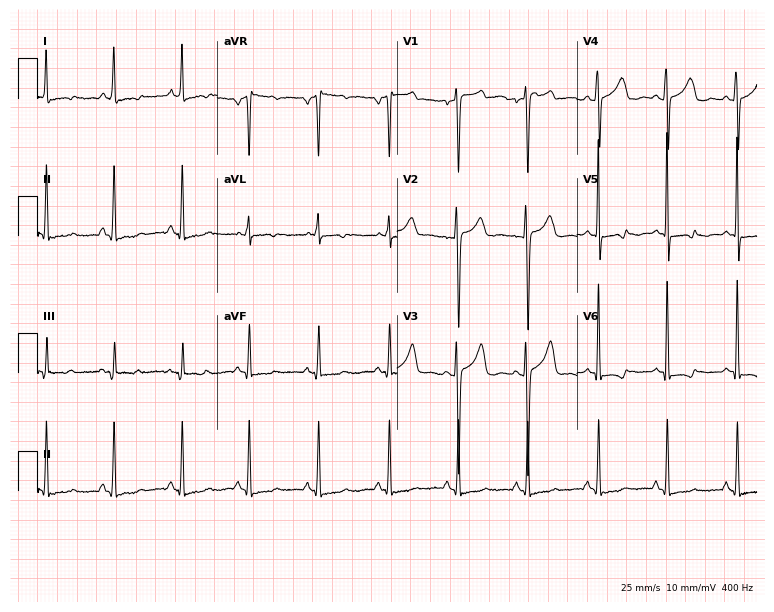
Electrocardiogram, an 18-year-old female patient. Of the six screened findings (first-degree AV block, right bundle branch block, left bundle branch block, sinus bradycardia, atrial fibrillation, sinus tachycardia), none is recorded.